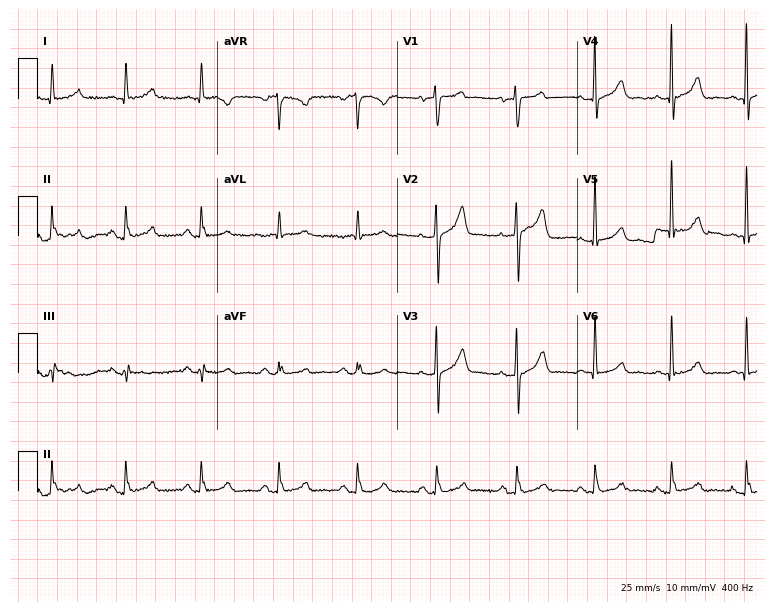
Resting 12-lead electrocardiogram. Patient: a male, 58 years old. None of these six findings is recorded: first-degree AV block, right bundle branch block, left bundle branch block, sinus bradycardia, atrial fibrillation, sinus tachycardia. Findings outside these six are not listed.